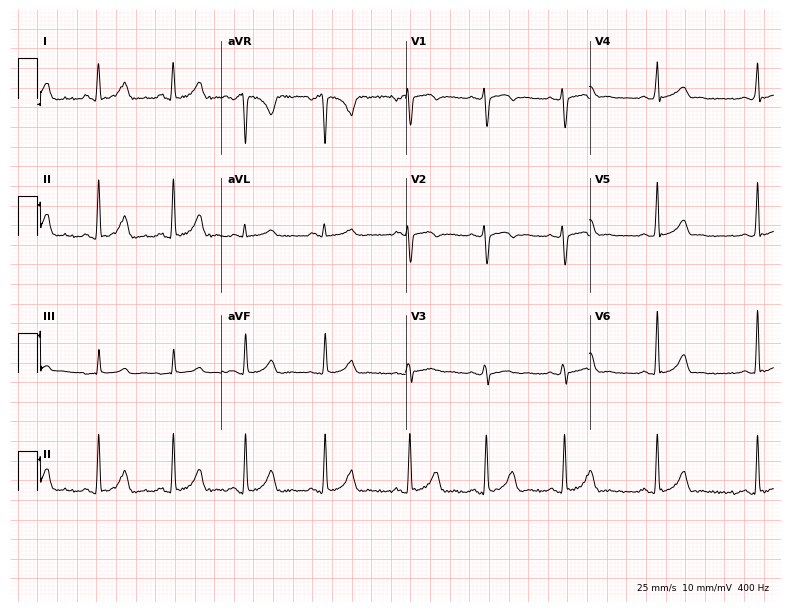
Standard 12-lead ECG recorded from a female, 32 years old. Read as a normal ECG.